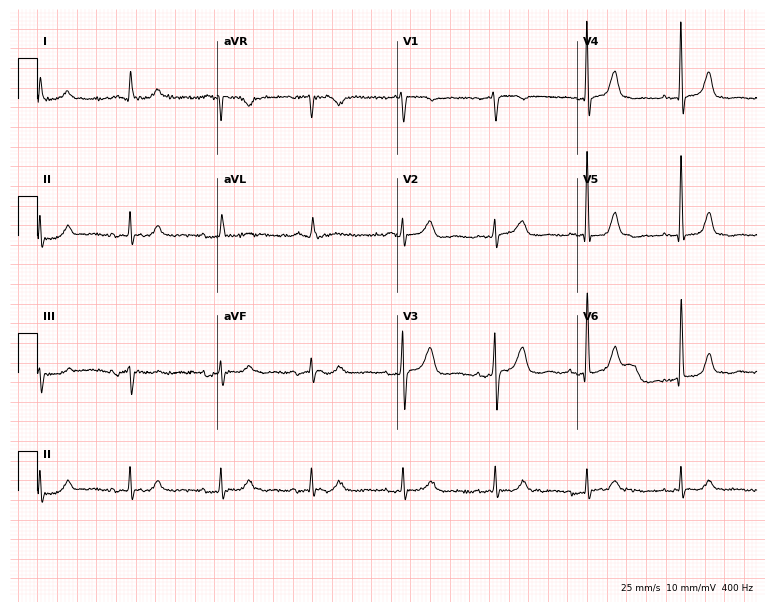
Electrocardiogram, a 76-year-old male. Of the six screened findings (first-degree AV block, right bundle branch block (RBBB), left bundle branch block (LBBB), sinus bradycardia, atrial fibrillation (AF), sinus tachycardia), none is recorded. Findings outside these six are not listed.